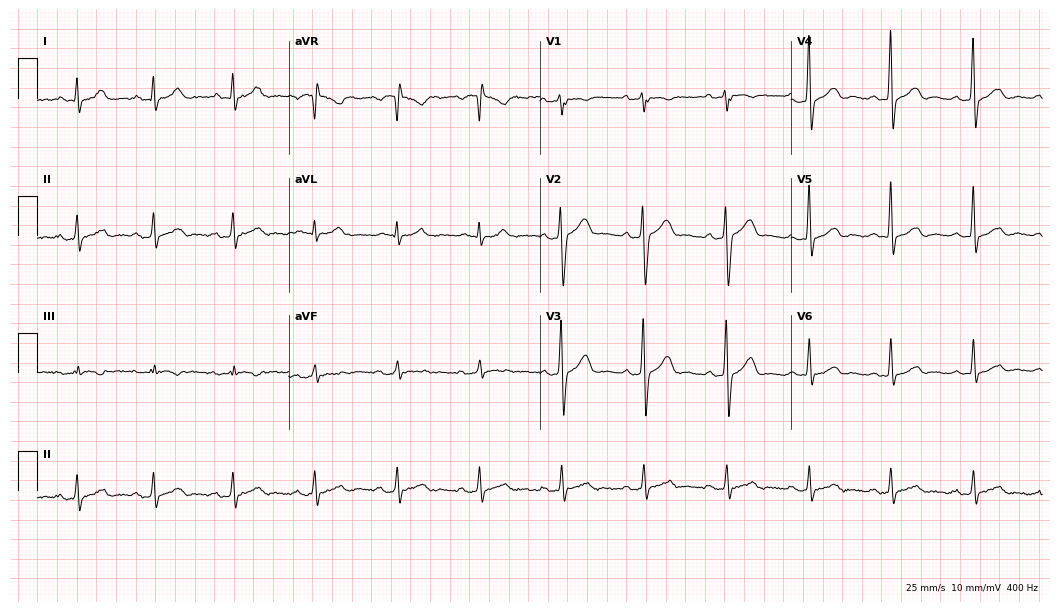
Electrocardiogram, a male patient, 63 years old. Of the six screened findings (first-degree AV block, right bundle branch block, left bundle branch block, sinus bradycardia, atrial fibrillation, sinus tachycardia), none is recorded. Only these six findings were labelled.